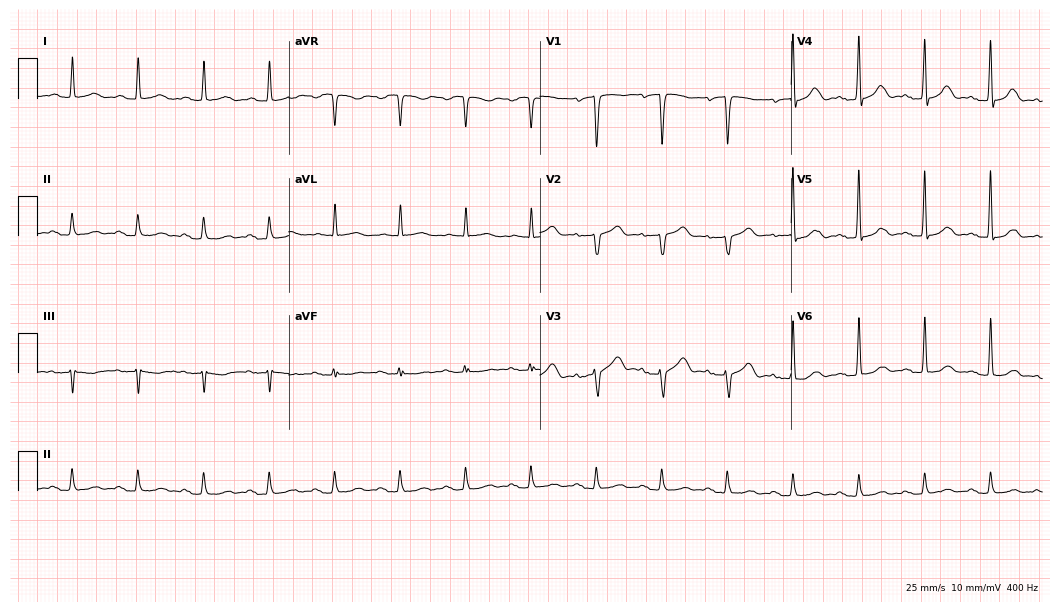
Standard 12-lead ECG recorded from an 83-year-old male patient (10.2-second recording at 400 Hz). None of these six findings is recorded: first-degree AV block, right bundle branch block, left bundle branch block, sinus bradycardia, atrial fibrillation, sinus tachycardia.